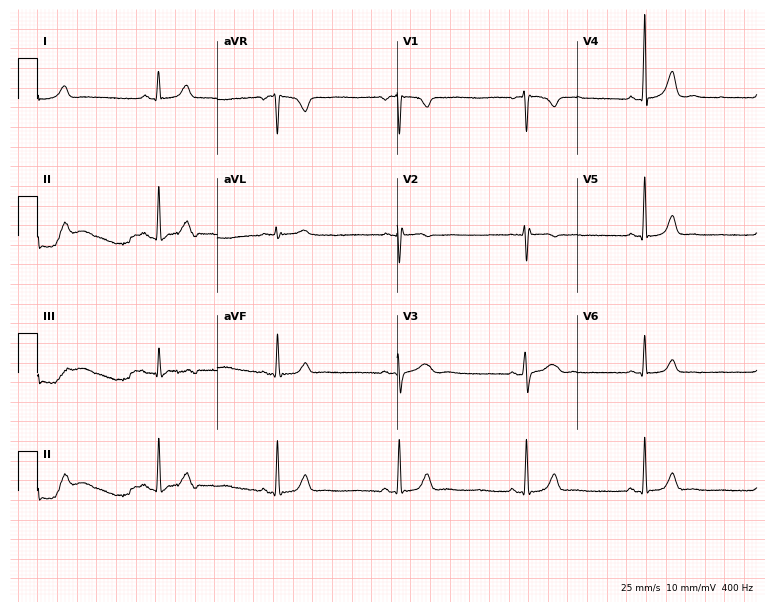
Electrocardiogram (7.3-second recording at 400 Hz), a 35-year-old female patient. Interpretation includes sinus bradycardia (a sinus rate of 50 beats per minute or less).